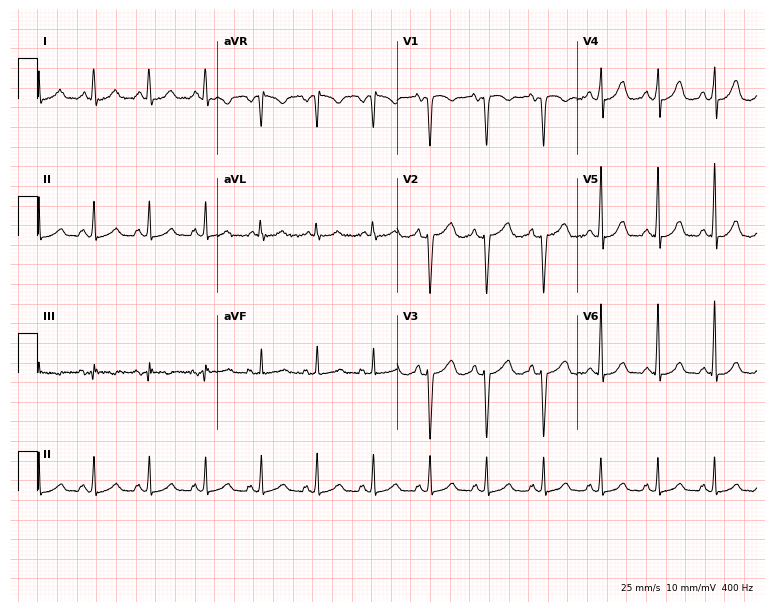
ECG — a female, 42 years old. Findings include sinus tachycardia (a sinus rate of 100 beats per minute or more).